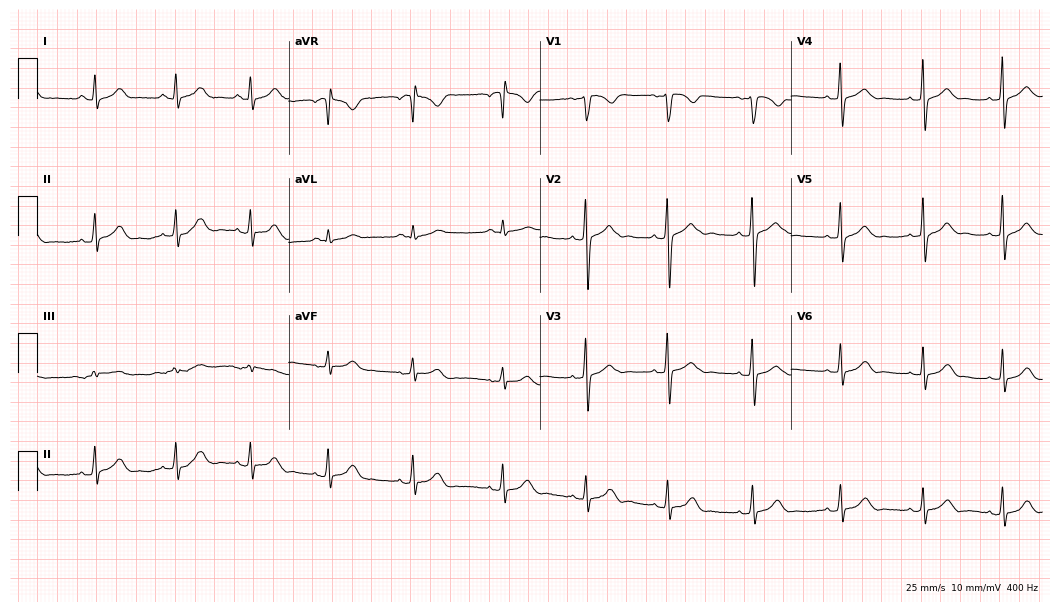
Electrocardiogram, a 24-year-old woman. Overall reading on record: normal ECG.